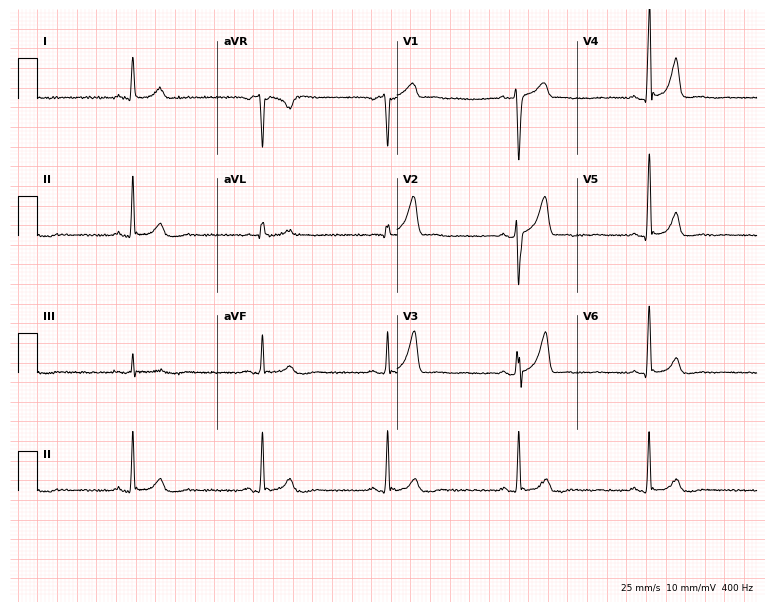
Standard 12-lead ECG recorded from a 49-year-old man. The tracing shows sinus bradycardia (a sinus rate of 50 beats per minute or less).